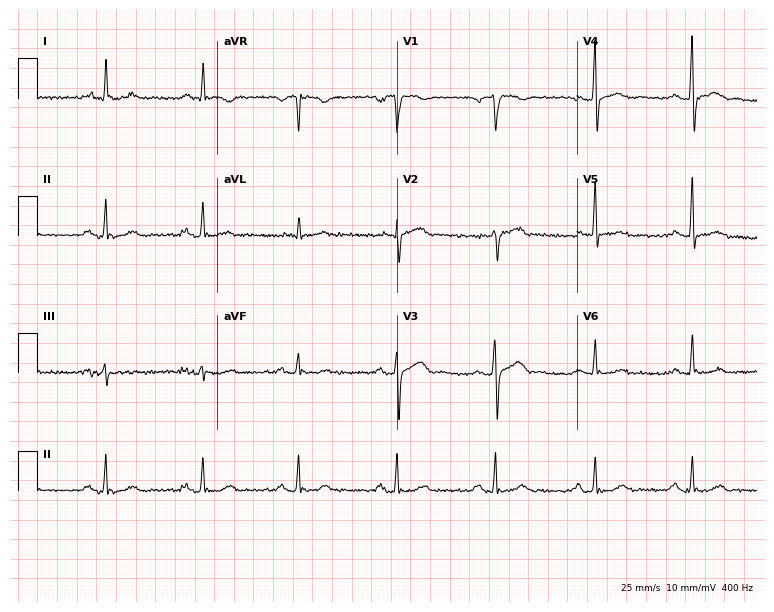
Standard 12-lead ECG recorded from a 75-year-old male (7.3-second recording at 400 Hz). None of these six findings is recorded: first-degree AV block, right bundle branch block, left bundle branch block, sinus bradycardia, atrial fibrillation, sinus tachycardia.